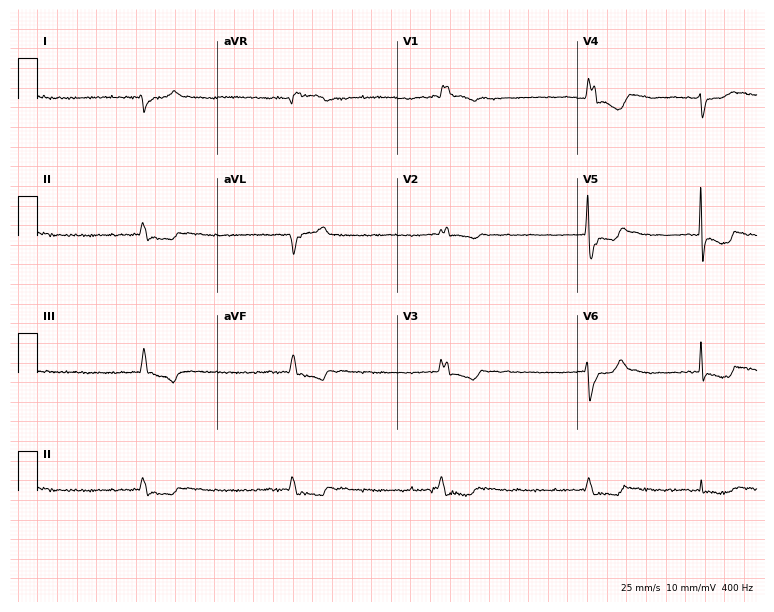
ECG — a man, 79 years old. Screened for six findings — first-degree AV block, right bundle branch block, left bundle branch block, sinus bradycardia, atrial fibrillation, sinus tachycardia — none is recorded. Only these six findings were labelled.